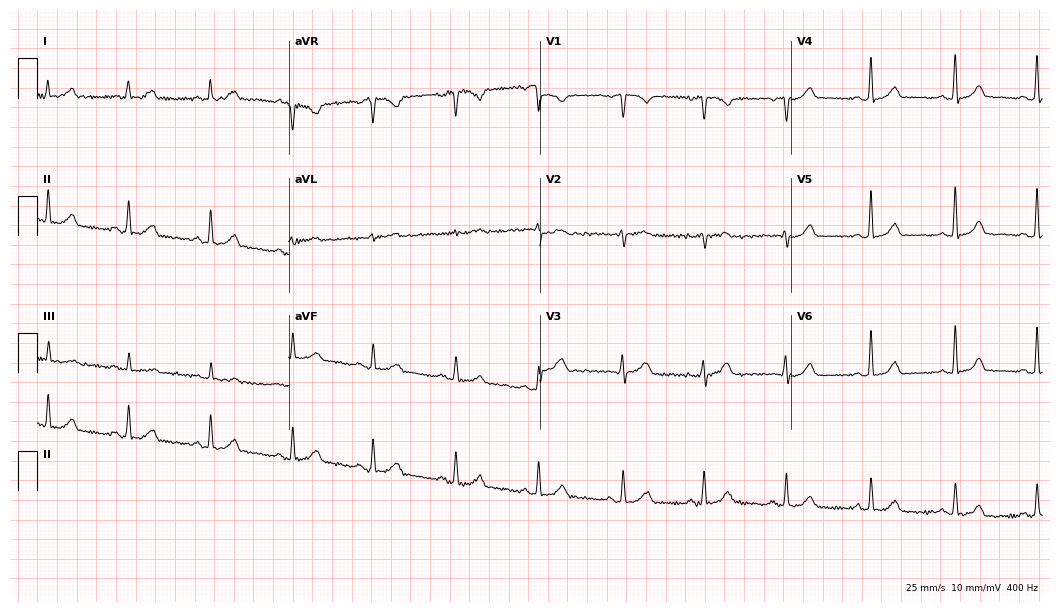
Resting 12-lead electrocardiogram (10.2-second recording at 400 Hz). Patient: a 51-year-old female. Read as a normal ECG.